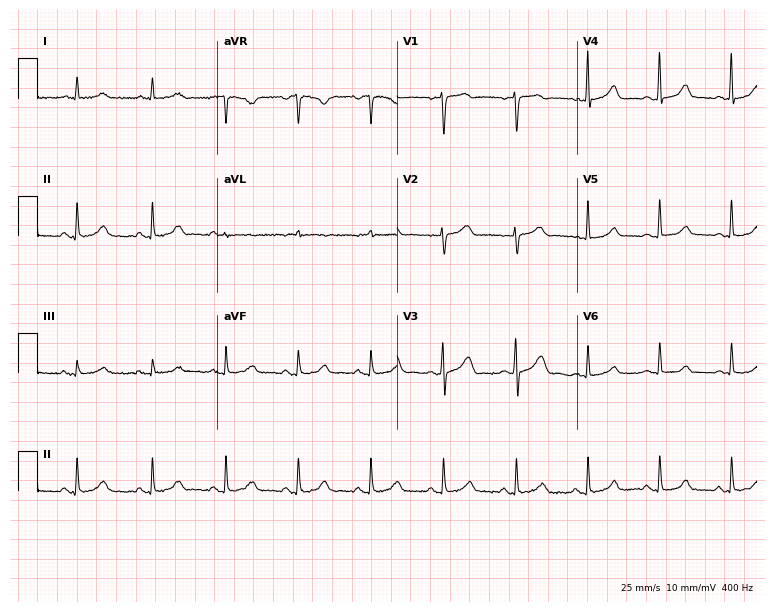
12-lead ECG (7.3-second recording at 400 Hz) from a 52-year-old woman. Labelled as a normal ECG.